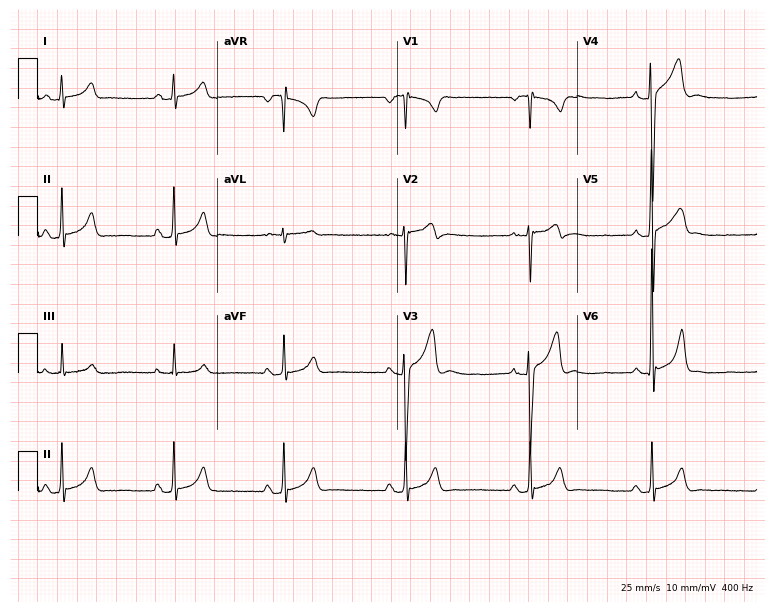
ECG — a man, 17 years old. Screened for six findings — first-degree AV block, right bundle branch block, left bundle branch block, sinus bradycardia, atrial fibrillation, sinus tachycardia — none is recorded.